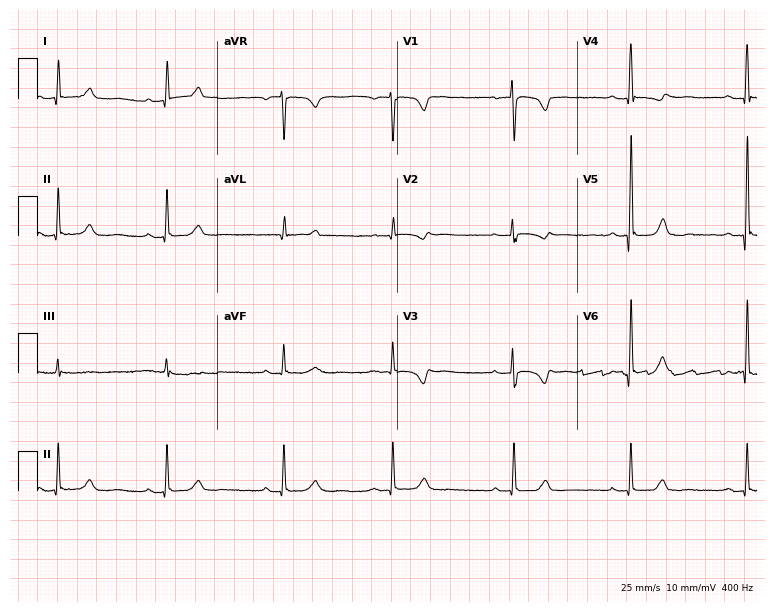
12-lead ECG from a 47-year-old female patient (7.3-second recording at 400 Hz). No first-degree AV block, right bundle branch block, left bundle branch block, sinus bradycardia, atrial fibrillation or sinus tachycardia recorded for this tracing.